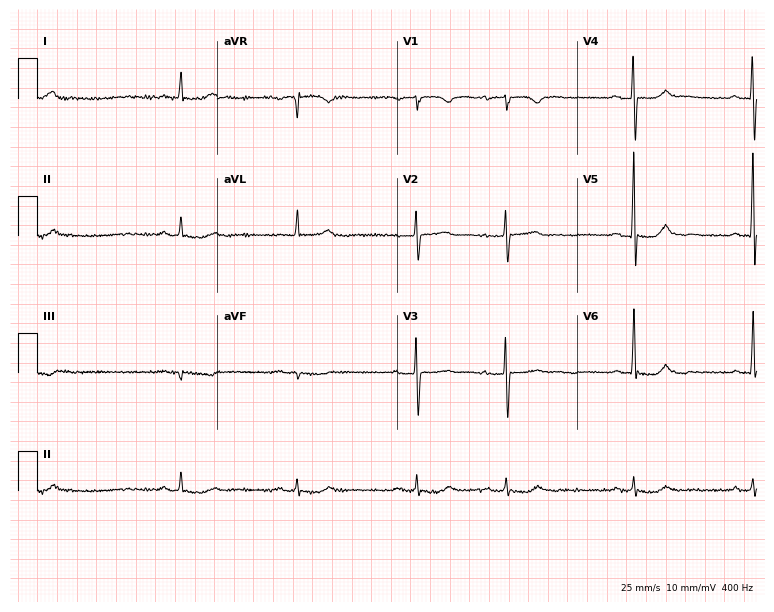
Resting 12-lead electrocardiogram. Patient: an 85-year-old female. None of these six findings is recorded: first-degree AV block, right bundle branch block (RBBB), left bundle branch block (LBBB), sinus bradycardia, atrial fibrillation (AF), sinus tachycardia. Only these six findings were labelled.